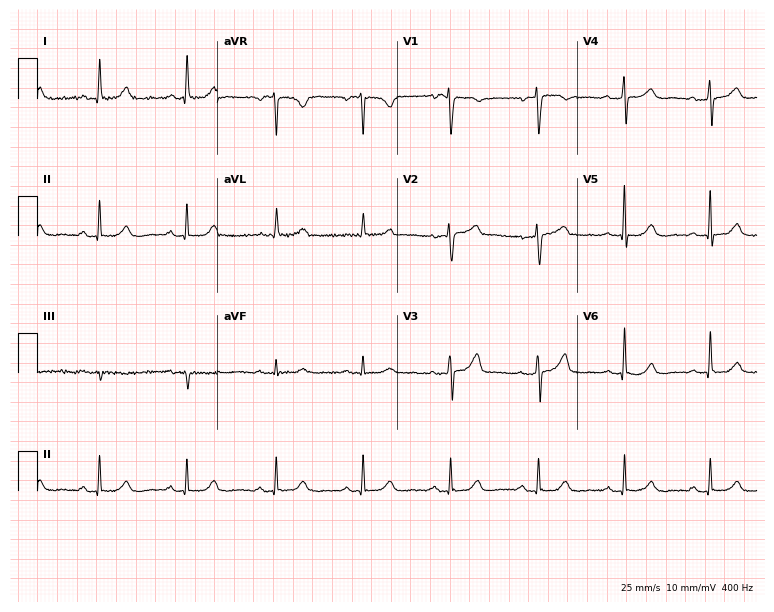
12-lead ECG from a woman, 63 years old. Labelled as a normal ECG.